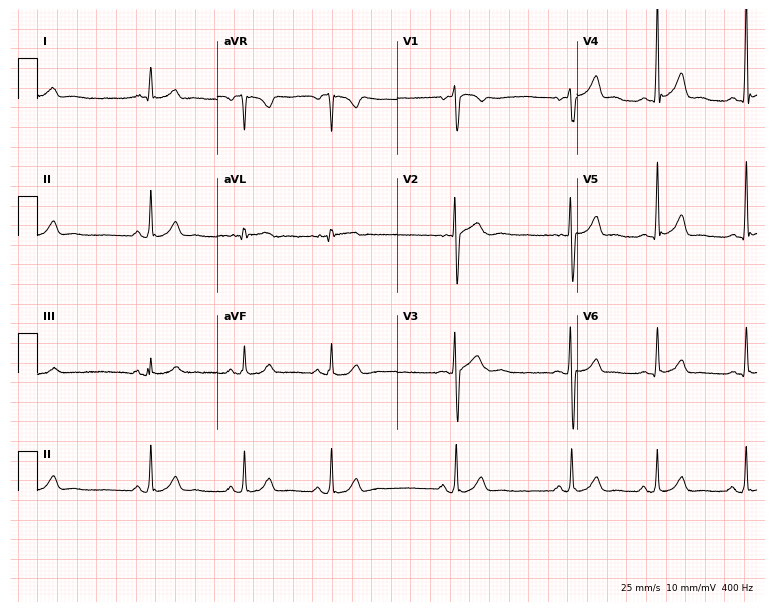
Standard 12-lead ECG recorded from a female patient, 18 years old. Read as a normal ECG.